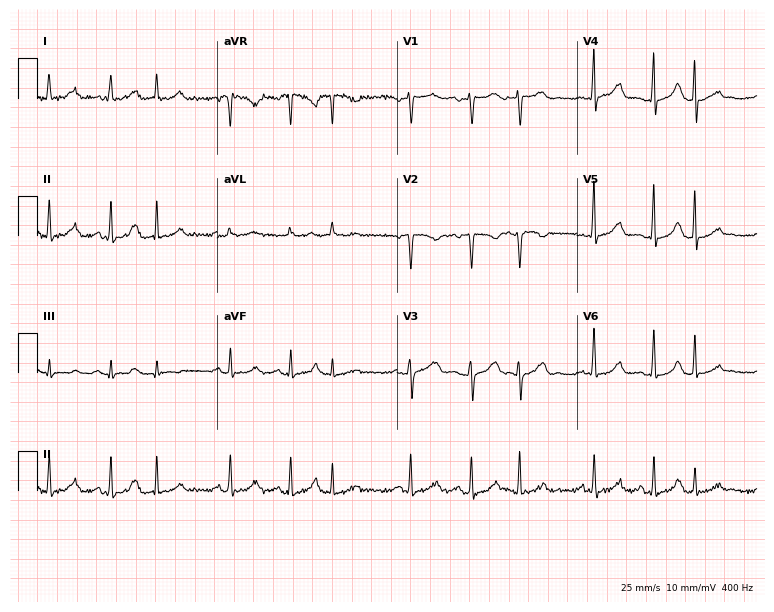
Standard 12-lead ECG recorded from a 30-year-old female (7.3-second recording at 400 Hz). None of these six findings is recorded: first-degree AV block, right bundle branch block (RBBB), left bundle branch block (LBBB), sinus bradycardia, atrial fibrillation (AF), sinus tachycardia. Findings outside these six are not listed.